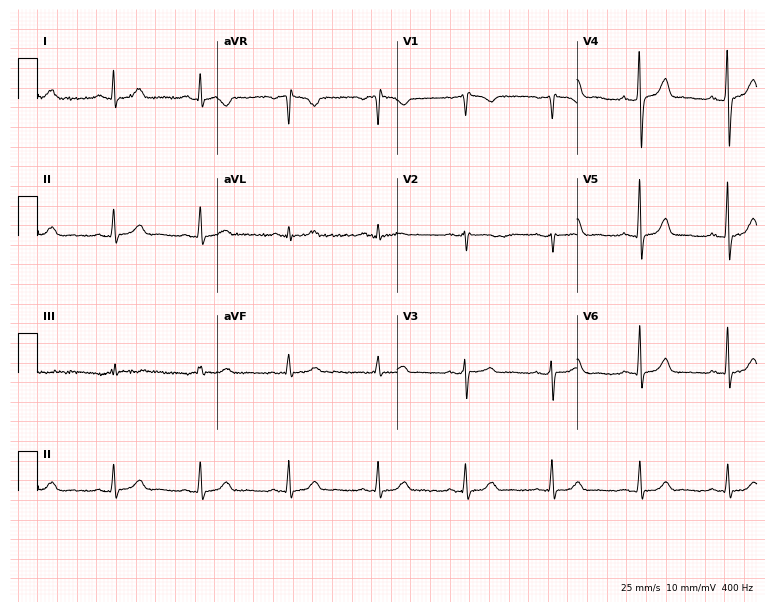
ECG — a male, 60 years old. Screened for six findings — first-degree AV block, right bundle branch block (RBBB), left bundle branch block (LBBB), sinus bradycardia, atrial fibrillation (AF), sinus tachycardia — none is recorded. Findings outside these six are not listed.